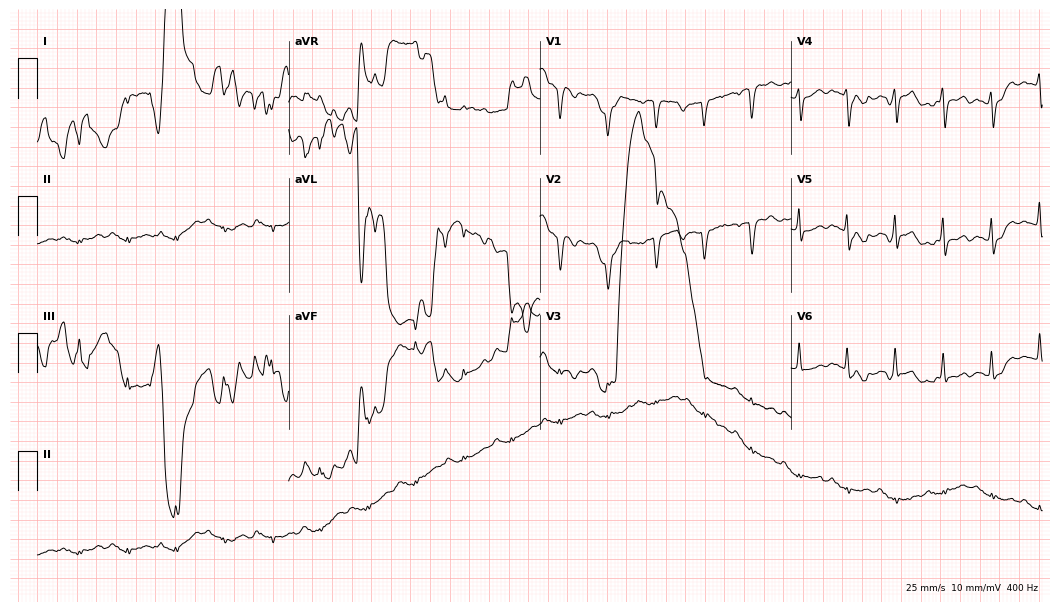
Standard 12-lead ECG recorded from a 76-year-old male. None of these six findings is recorded: first-degree AV block, right bundle branch block (RBBB), left bundle branch block (LBBB), sinus bradycardia, atrial fibrillation (AF), sinus tachycardia.